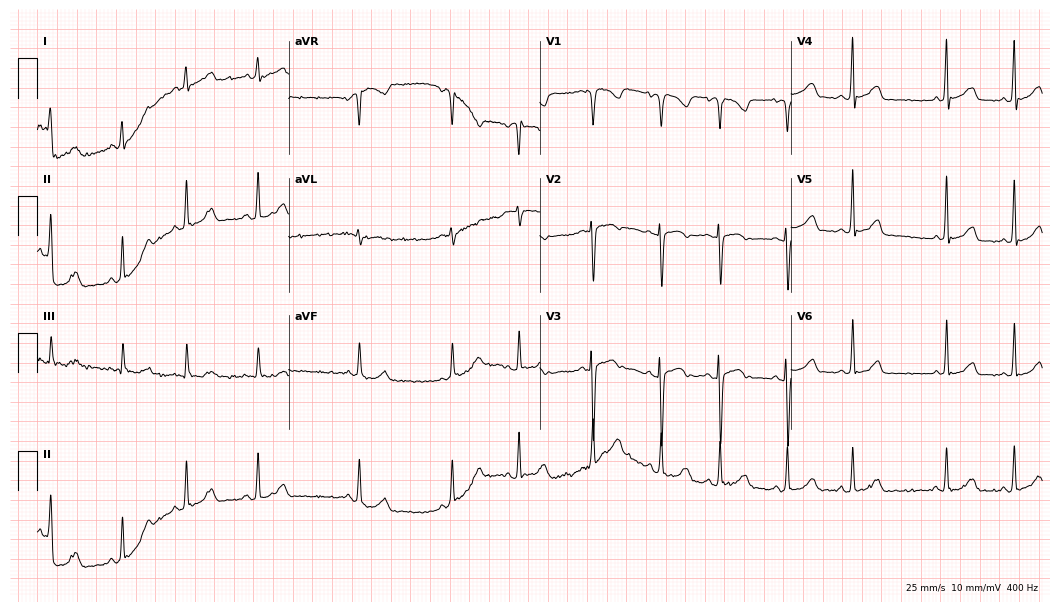
ECG (10.2-second recording at 400 Hz) — a male patient, 68 years old. Labelled as a normal ECG.